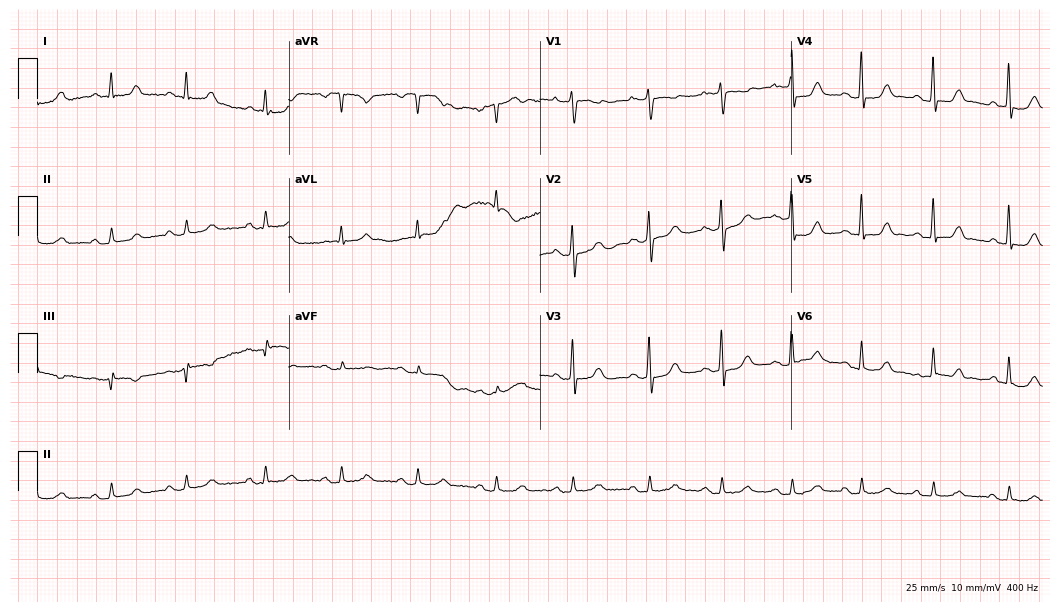
Standard 12-lead ECG recorded from a female, 74 years old (10.2-second recording at 400 Hz). Read as a normal ECG.